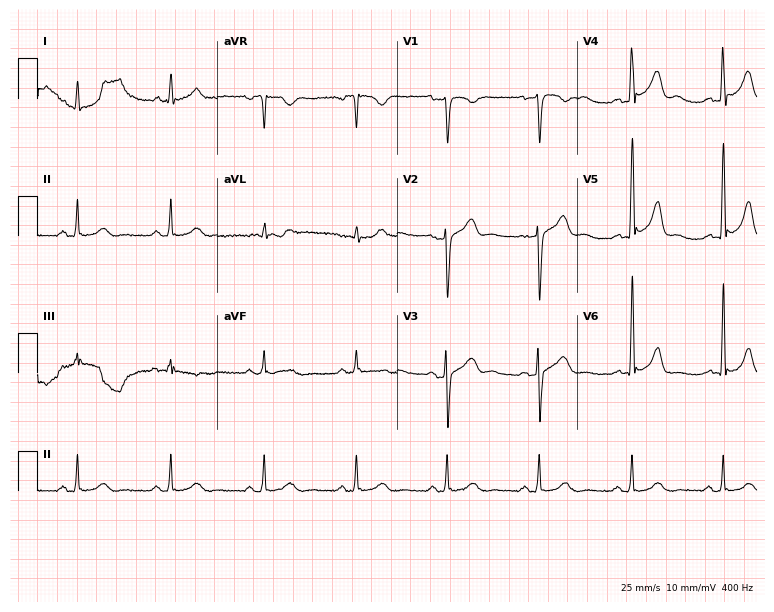
12-lead ECG from a 36-year-old man. Labelled as a normal ECG.